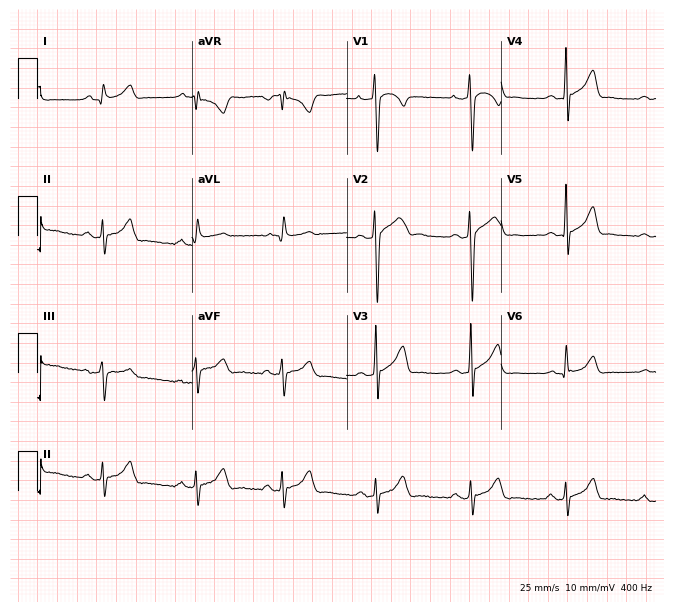
Electrocardiogram, a 21-year-old male. Of the six screened findings (first-degree AV block, right bundle branch block, left bundle branch block, sinus bradycardia, atrial fibrillation, sinus tachycardia), none is recorded.